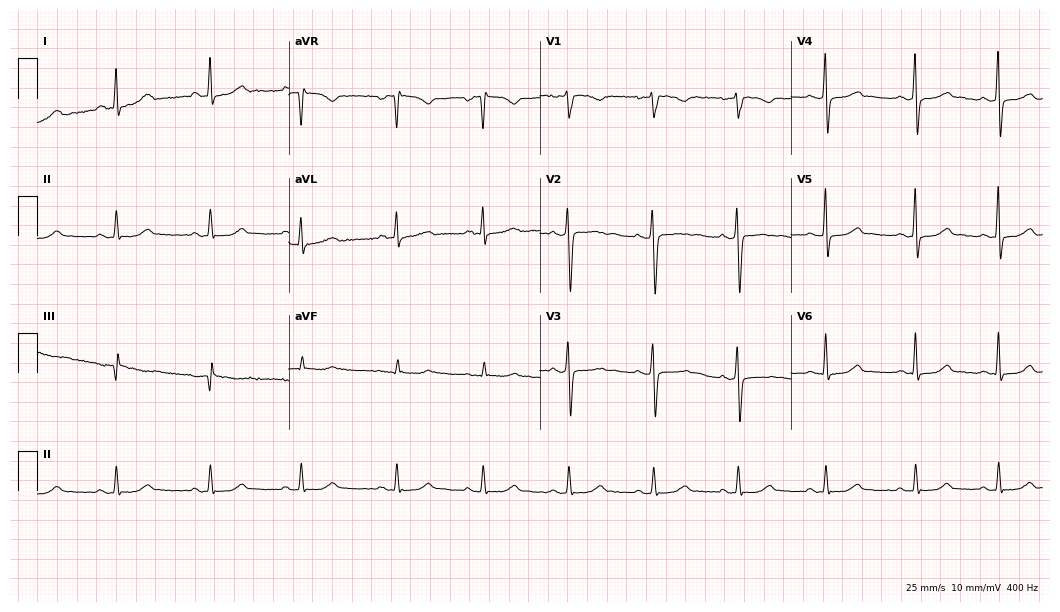
Electrocardiogram (10.2-second recording at 400 Hz), a woman, 25 years old. Overall reading on record: normal ECG.